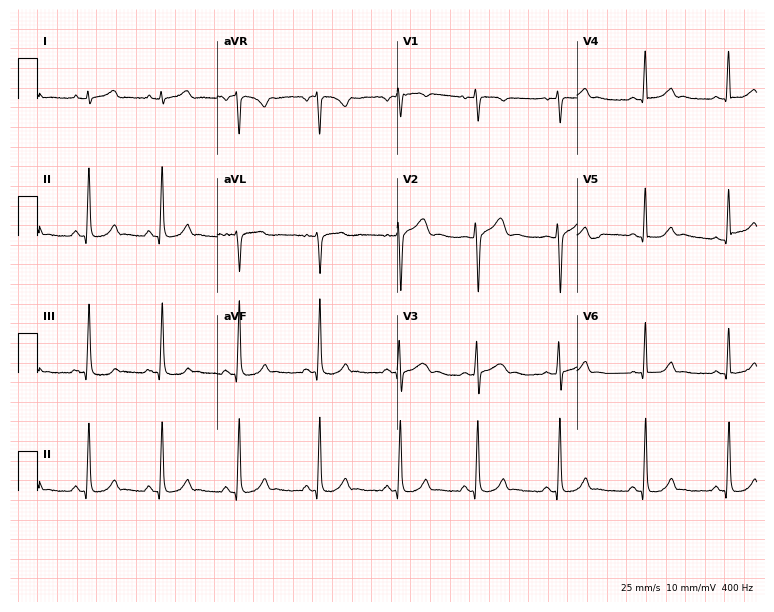
ECG — a female, 17 years old. Labelled as a normal ECG.